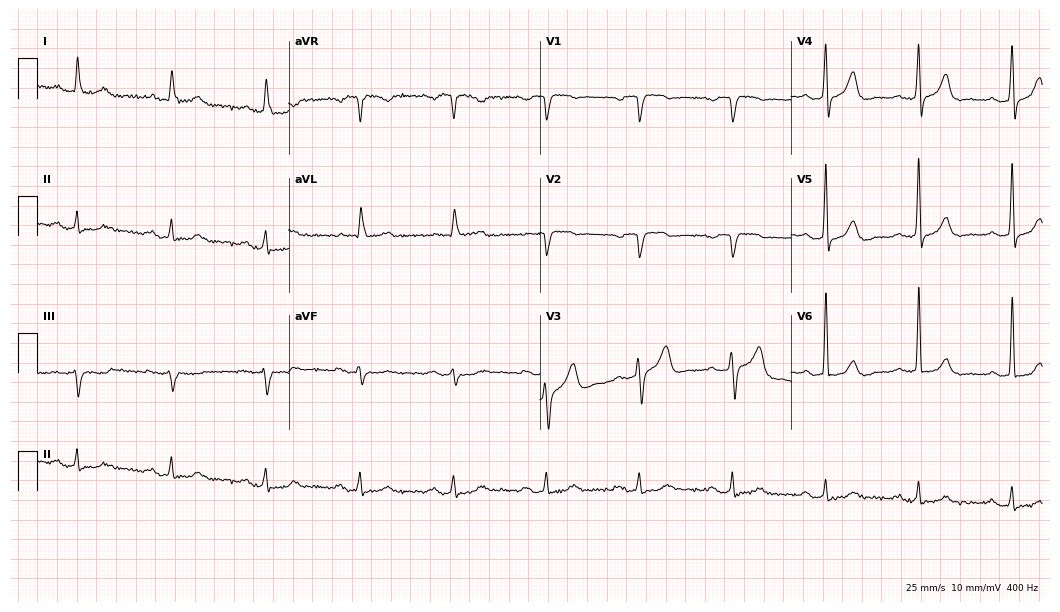
12-lead ECG from a male patient, 81 years old (10.2-second recording at 400 Hz). Shows first-degree AV block.